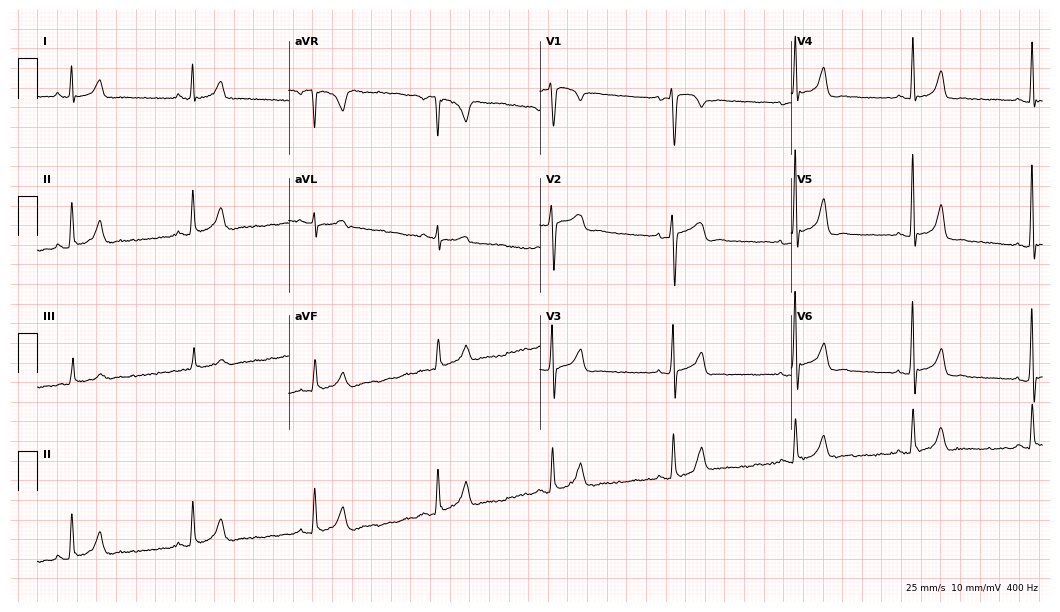
Standard 12-lead ECG recorded from a male patient, 36 years old (10.2-second recording at 400 Hz). The tracing shows sinus bradycardia (a sinus rate of 50 beats per minute or less).